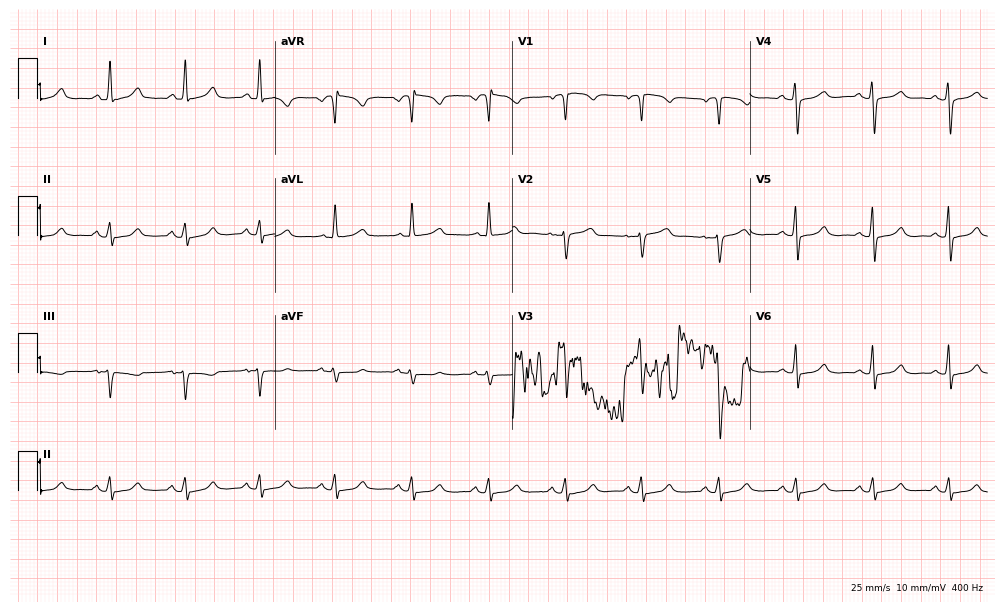
12-lead ECG from a female, 65 years old. Recorded interpretation: within normal limits.